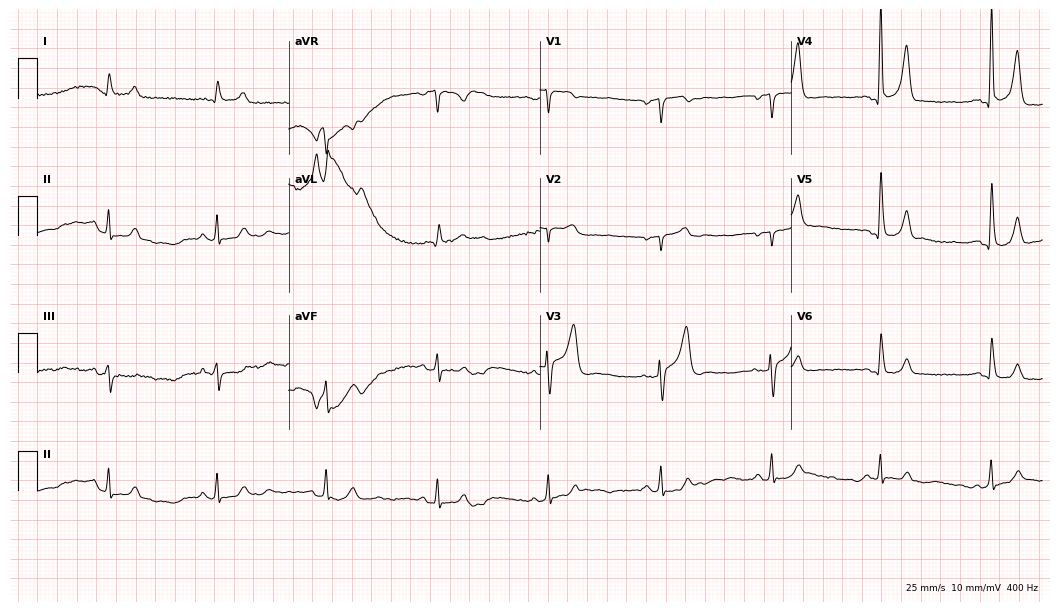
ECG — a 64-year-old male patient. Labelled as a normal ECG.